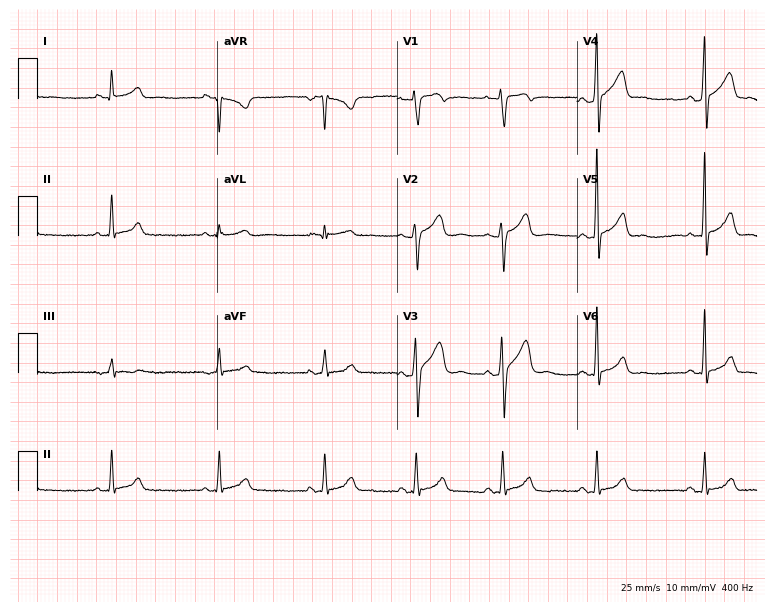
Standard 12-lead ECG recorded from a 32-year-old male patient. None of these six findings is recorded: first-degree AV block, right bundle branch block, left bundle branch block, sinus bradycardia, atrial fibrillation, sinus tachycardia. Findings outside these six are not listed.